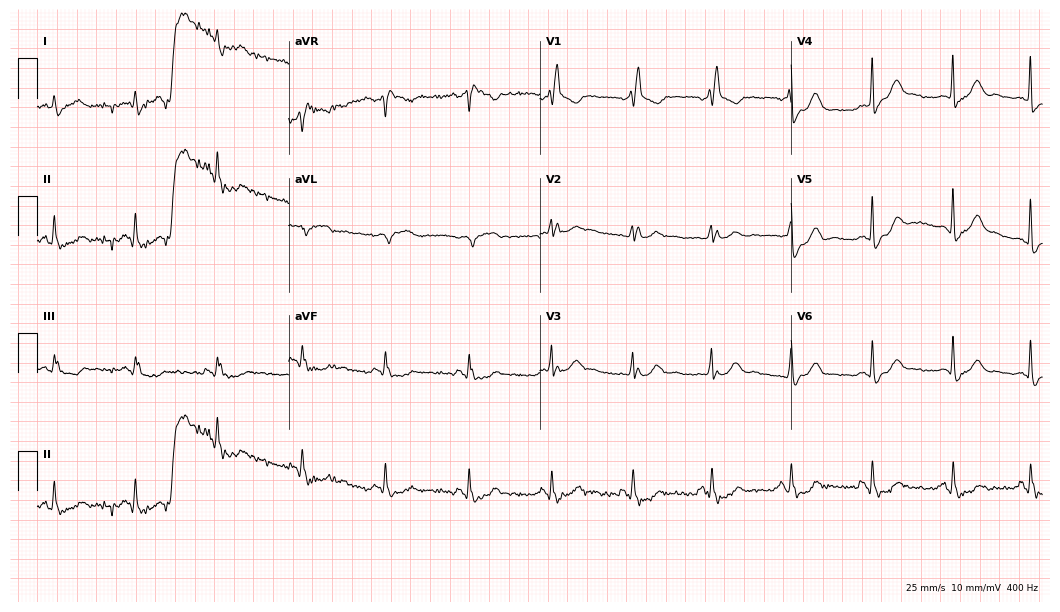
12-lead ECG from a 52-year-old man (10.2-second recording at 400 Hz). No first-degree AV block, right bundle branch block, left bundle branch block, sinus bradycardia, atrial fibrillation or sinus tachycardia recorded for this tracing.